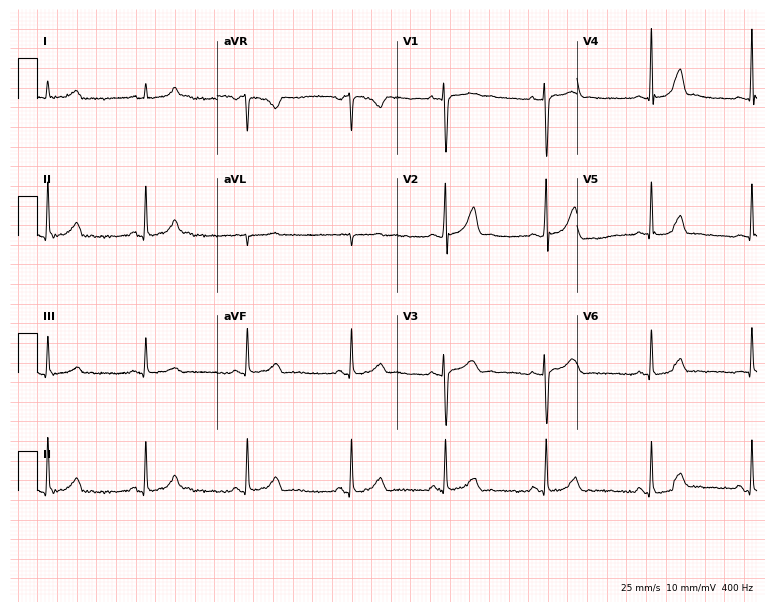
12-lead ECG (7.3-second recording at 400 Hz) from a female, 17 years old. Labelled as a normal ECG.